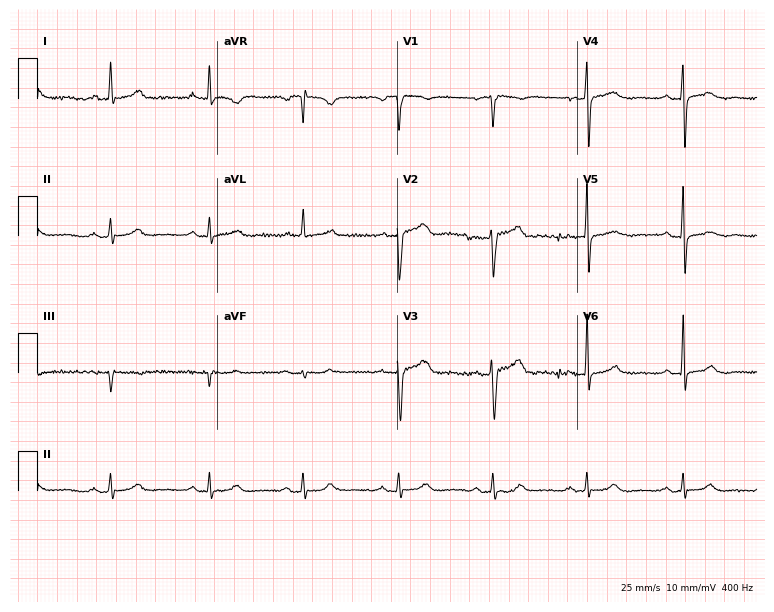
ECG (7.3-second recording at 400 Hz) — a male, 59 years old. Screened for six findings — first-degree AV block, right bundle branch block, left bundle branch block, sinus bradycardia, atrial fibrillation, sinus tachycardia — none is recorded.